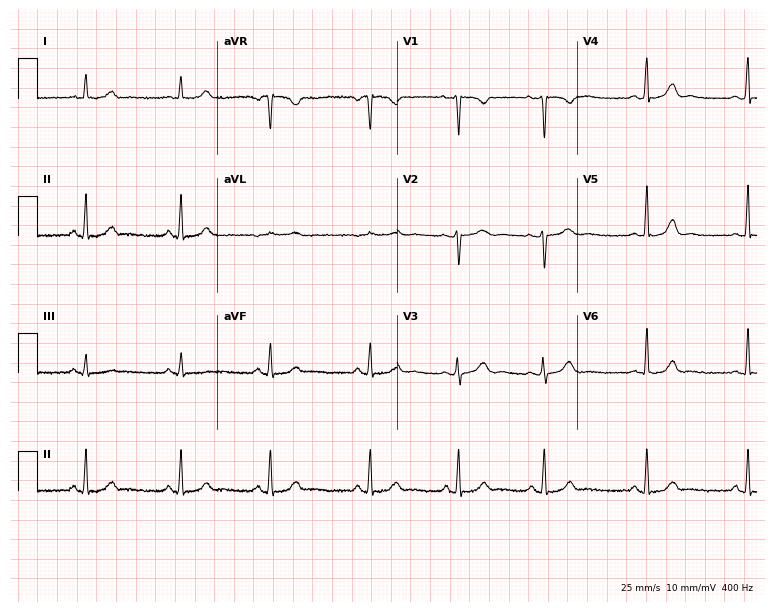
Resting 12-lead electrocardiogram. Patient: a 21-year-old female. None of these six findings is recorded: first-degree AV block, right bundle branch block, left bundle branch block, sinus bradycardia, atrial fibrillation, sinus tachycardia. Findings outside these six are not listed.